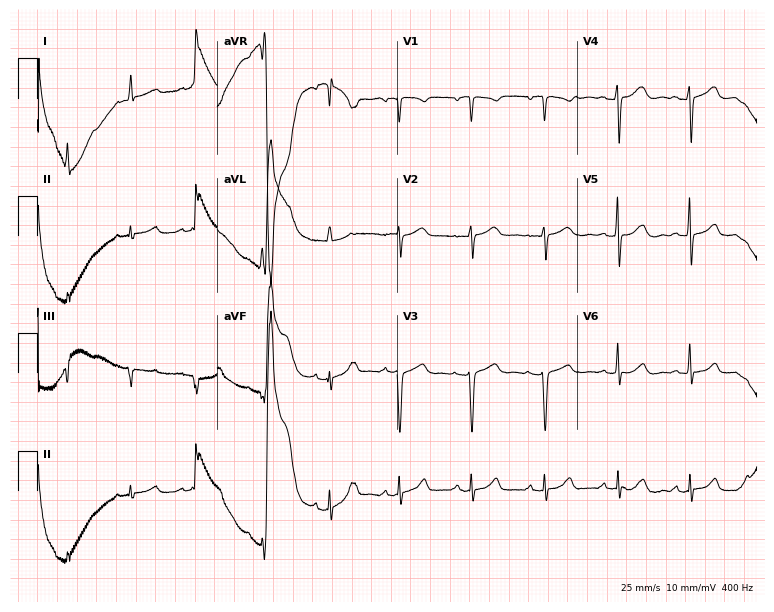
Standard 12-lead ECG recorded from a 55-year-old female patient (7.3-second recording at 400 Hz). Read as a normal ECG.